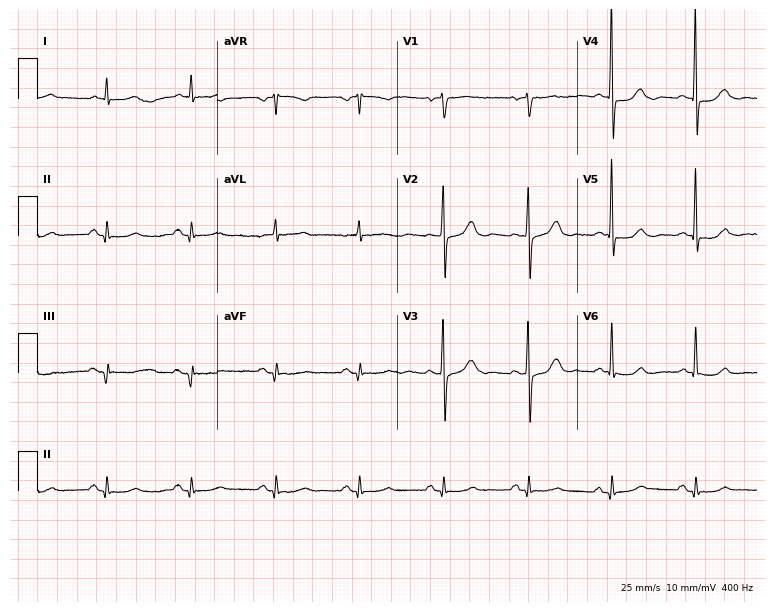
ECG (7.3-second recording at 400 Hz) — an 81-year-old female patient. Screened for six findings — first-degree AV block, right bundle branch block, left bundle branch block, sinus bradycardia, atrial fibrillation, sinus tachycardia — none is recorded. Other findings, if any, are not listed.